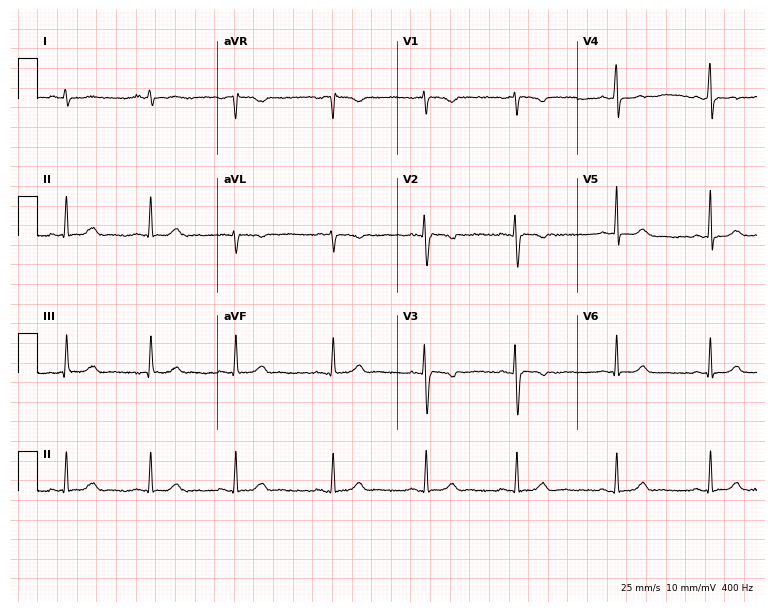
12-lead ECG from a woman, 28 years old. No first-degree AV block, right bundle branch block, left bundle branch block, sinus bradycardia, atrial fibrillation or sinus tachycardia recorded for this tracing.